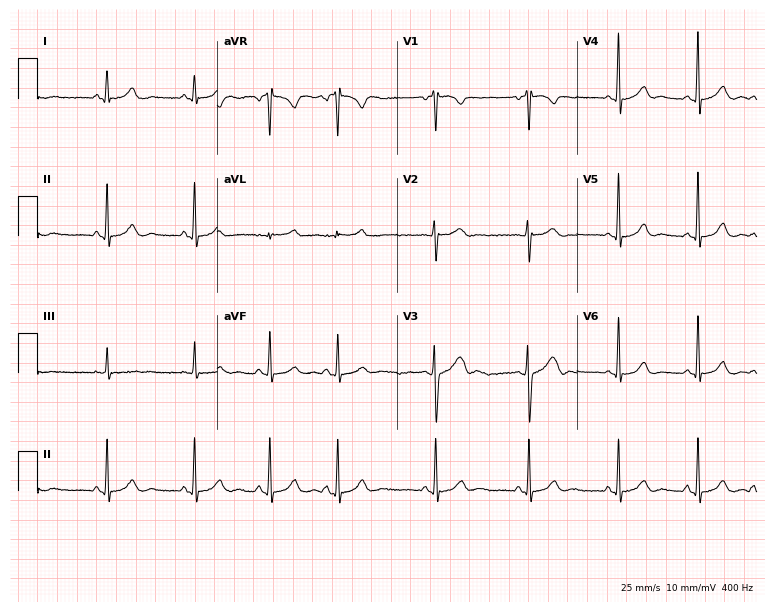
Standard 12-lead ECG recorded from a 19-year-old female. Read as a normal ECG.